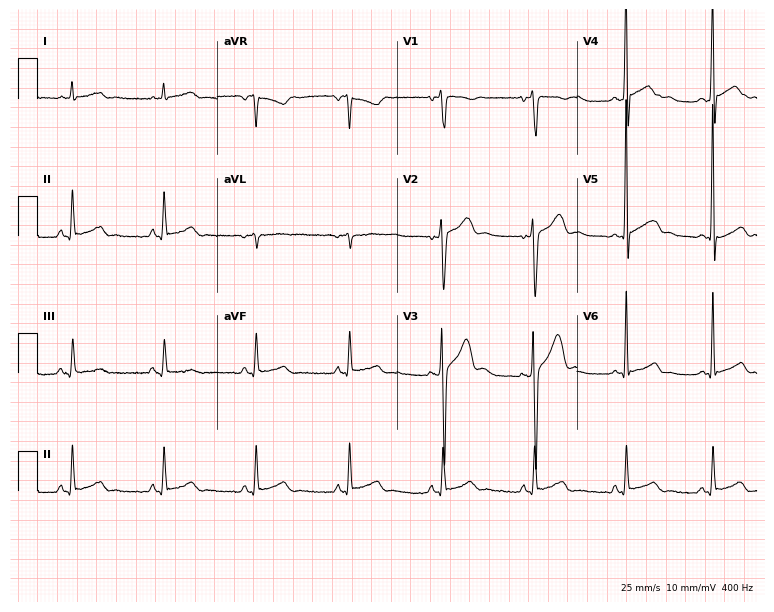
Electrocardiogram, a 17-year-old male. Overall reading on record: normal ECG.